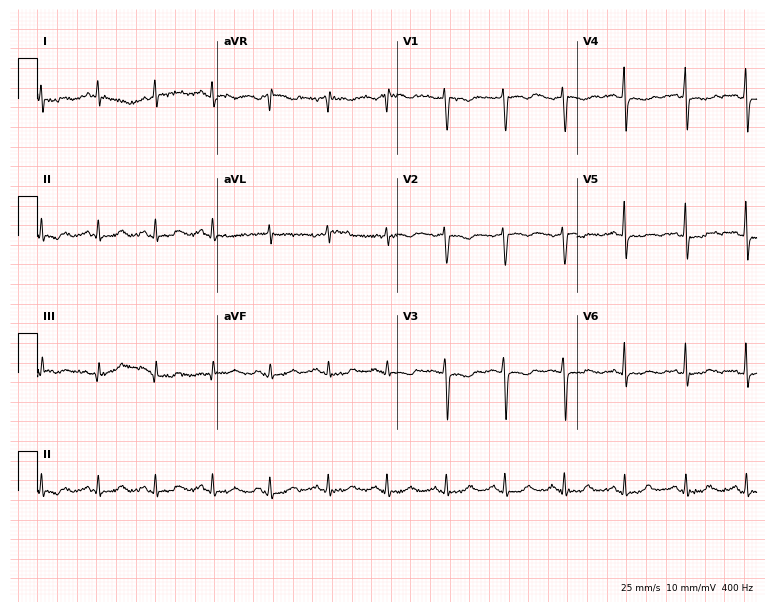
12-lead ECG from a female patient, 65 years old (7.3-second recording at 400 Hz). No first-degree AV block, right bundle branch block, left bundle branch block, sinus bradycardia, atrial fibrillation or sinus tachycardia recorded for this tracing.